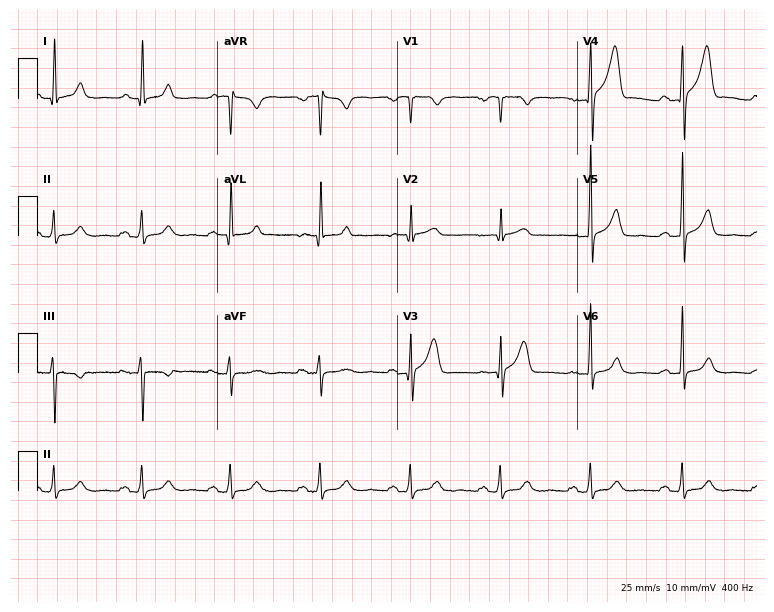
Standard 12-lead ECG recorded from a man, 56 years old (7.3-second recording at 400 Hz). None of these six findings is recorded: first-degree AV block, right bundle branch block (RBBB), left bundle branch block (LBBB), sinus bradycardia, atrial fibrillation (AF), sinus tachycardia.